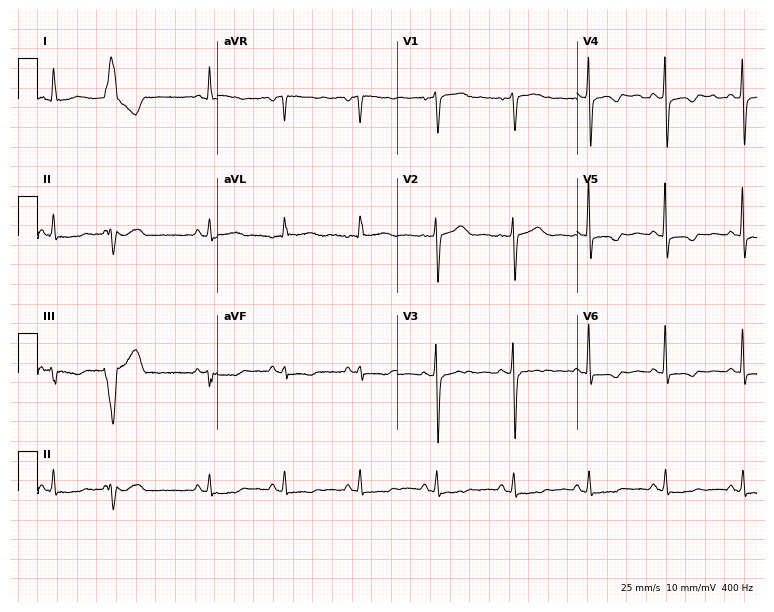
12-lead ECG from a 61-year-old woman. No first-degree AV block, right bundle branch block, left bundle branch block, sinus bradycardia, atrial fibrillation or sinus tachycardia recorded for this tracing.